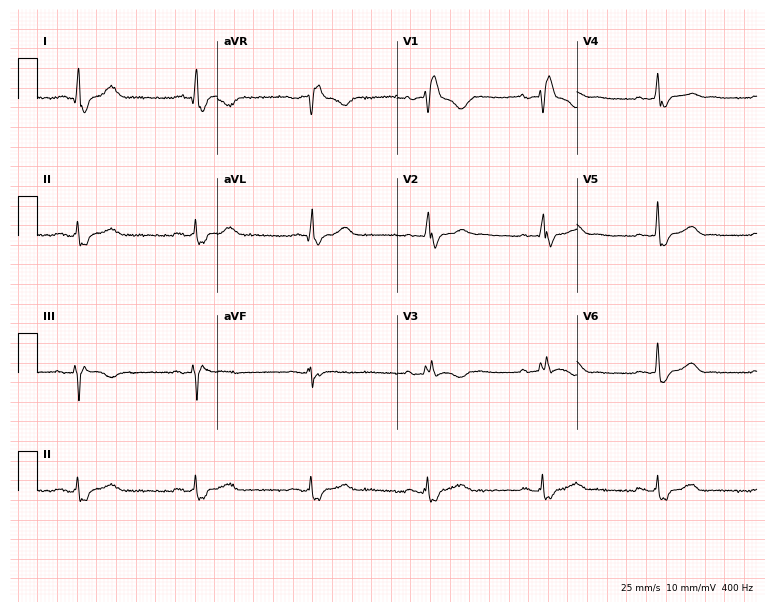
12-lead ECG from a 51-year-old woman. Screened for six findings — first-degree AV block, right bundle branch block, left bundle branch block, sinus bradycardia, atrial fibrillation, sinus tachycardia — none is recorded. Other findings, if any, are not listed.